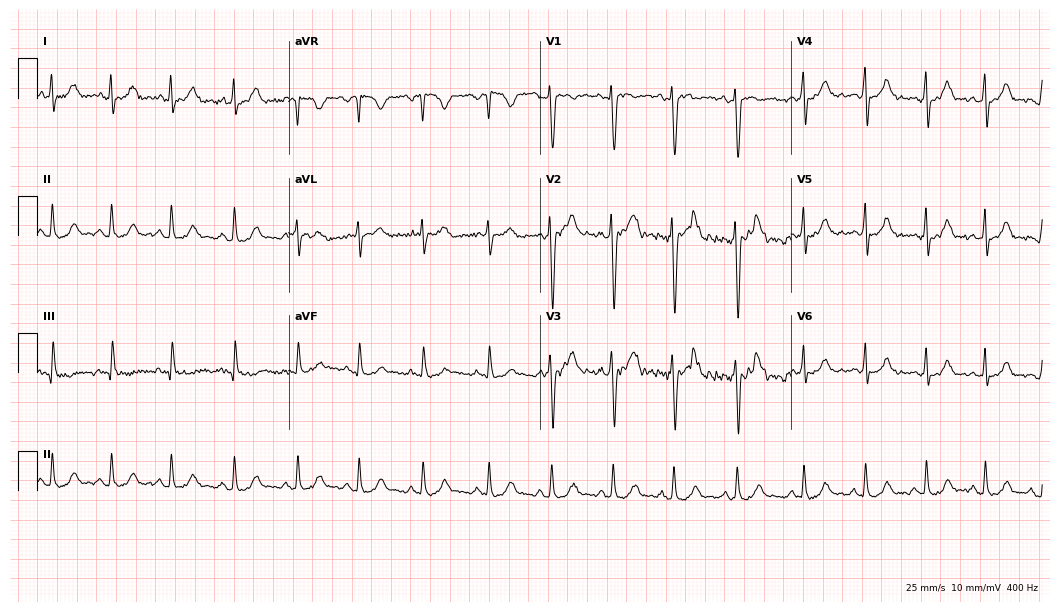
12-lead ECG from a female, 19 years old. Labelled as a normal ECG.